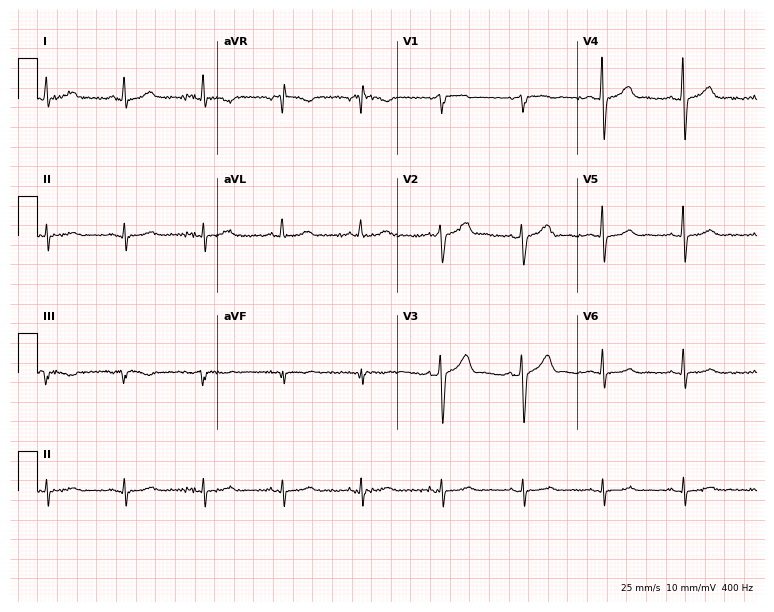
Electrocardiogram, a male, 73 years old. Overall reading on record: normal ECG.